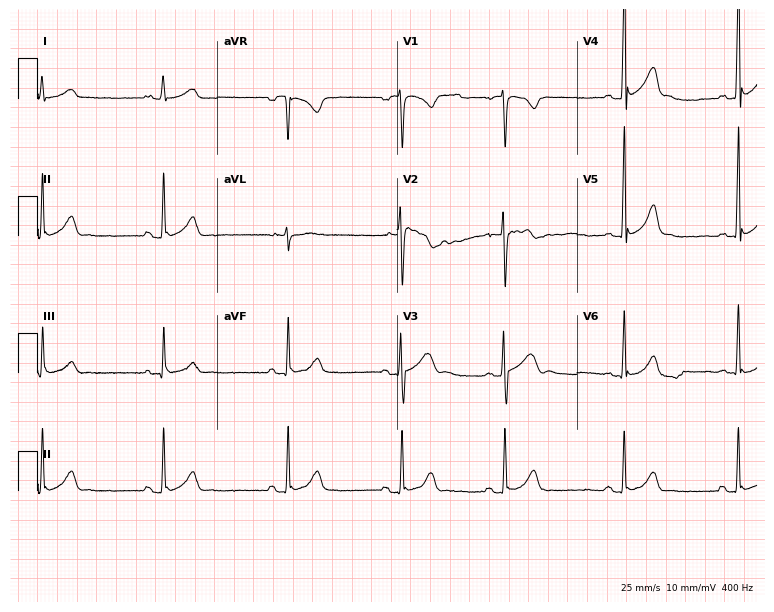
Resting 12-lead electrocardiogram. Patient: a man, 19 years old. None of these six findings is recorded: first-degree AV block, right bundle branch block, left bundle branch block, sinus bradycardia, atrial fibrillation, sinus tachycardia. Findings outside these six are not listed.